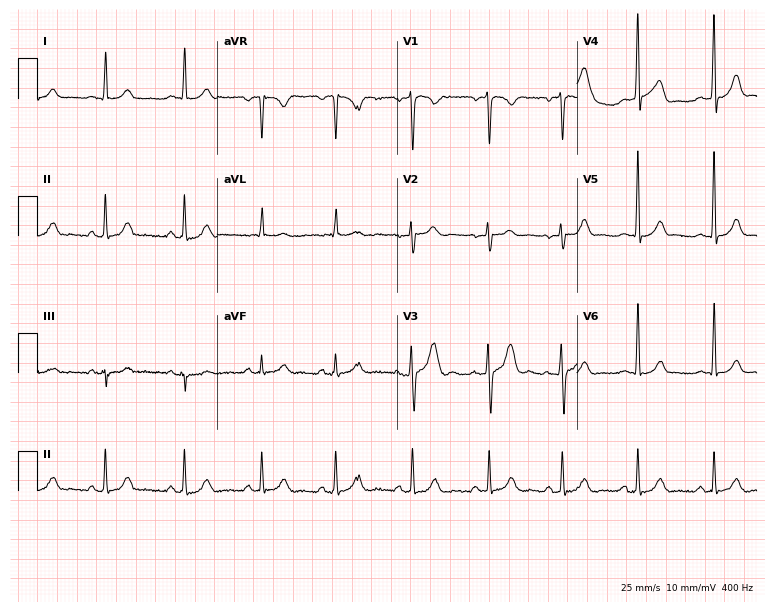
Electrocardiogram (7.3-second recording at 400 Hz), a 23-year-old male. Overall reading on record: normal ECG.